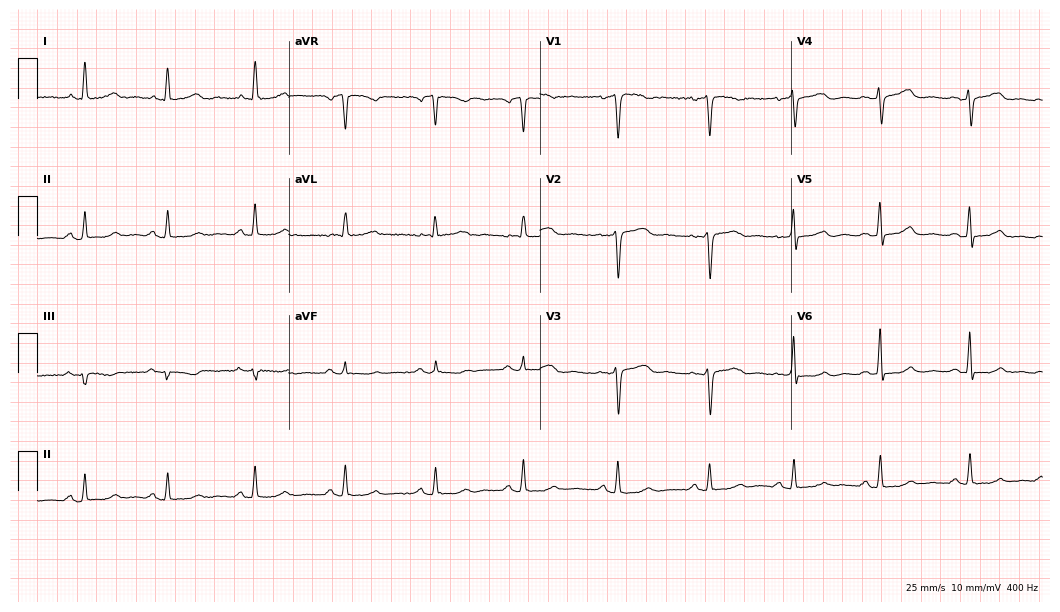
ECG (10.2-second recording at 400 Hz) — a 60-year-old woman. Screened for six findings — first-degree AV block, right bundle branch block, left bundle branch block, sinus bradycardia, atrial fibrillation, sinus tachycardia — none is recorded.